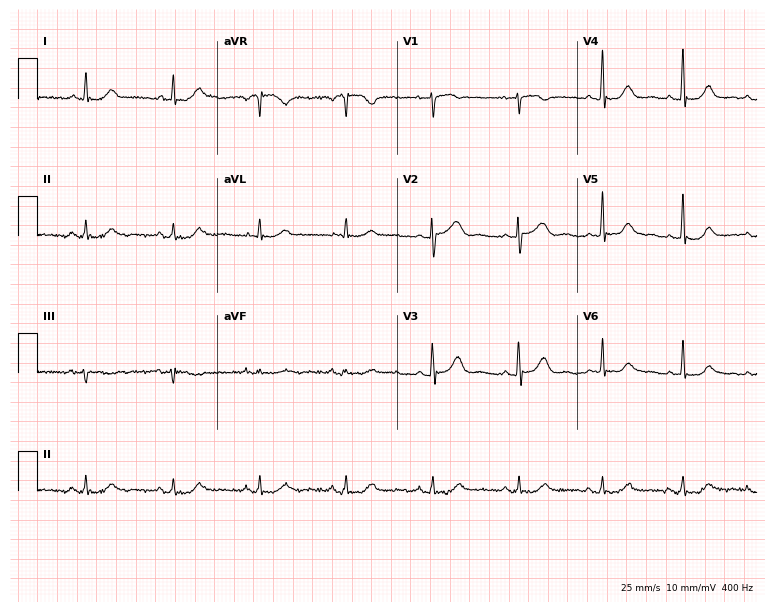
Standard 12-lead ECG recorded from a female patient, 62 years old (7.3-second recording at 400 Hz). None of these six findings is recorded: first-degree AV block, right bundle branch block (RBBB), left bundle branch block (LBBB), sinus bradycardia, atrial fibrillation (AF), sinus tachycardia. Findings outside these six are not listed.